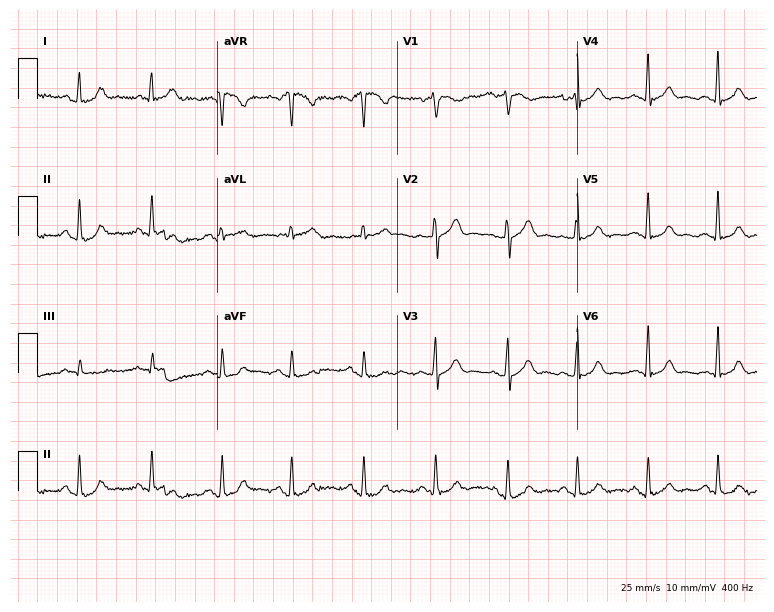
12-lead ECG (7.3-second recording at 400 Hz) from a 49-year-old male patient. Labelled as a normal ECG.